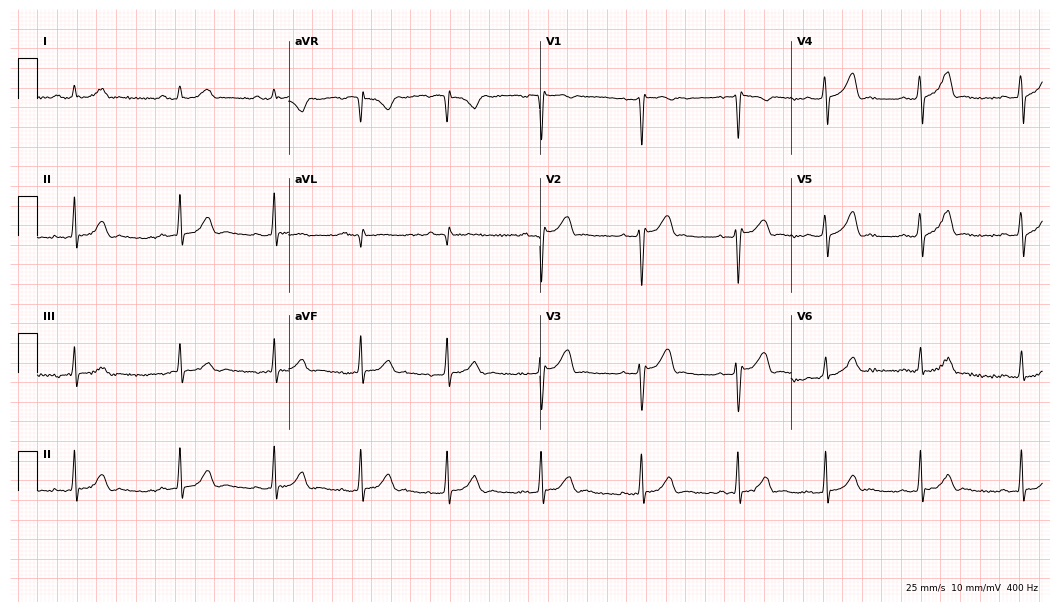
Electrocardiogram (10.2-second recording at 400 Hz), a 23-year-old male patient. Of the six screened findings (first-degree AV block, right bundle branch block, left bundle branch block, sinus bradycardia, atrial fibrillation, sinus tachycardia), none is recorded. Findings outside these six are not listed.